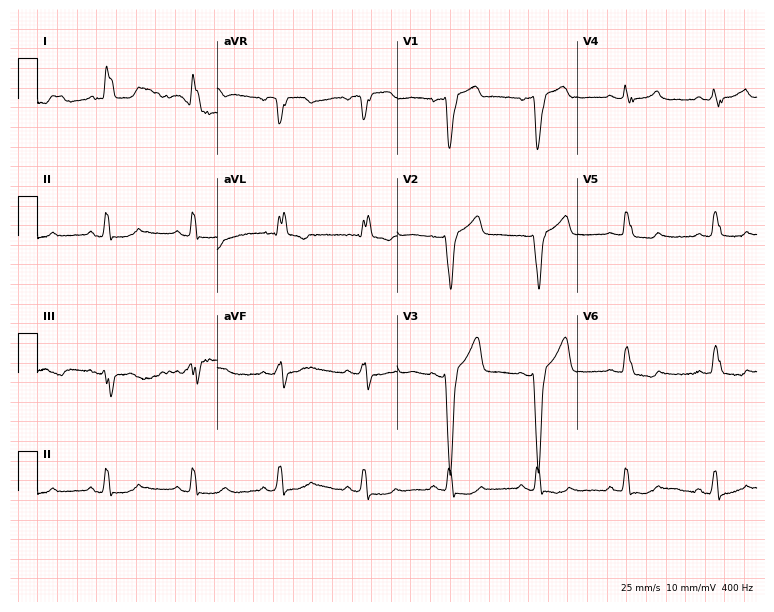
Standard 12-lead ECG recorded from a 62-year-old woman. The tracing shows left bundle branch block.